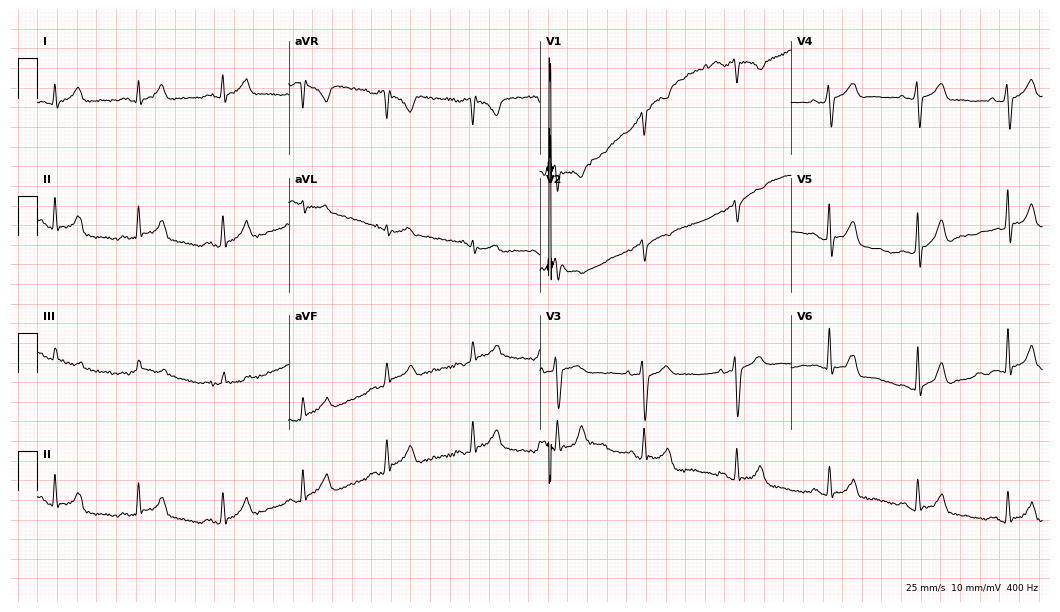
Electrocardiogram, a 32-year-old male. Overall reading on record: normal ECG.